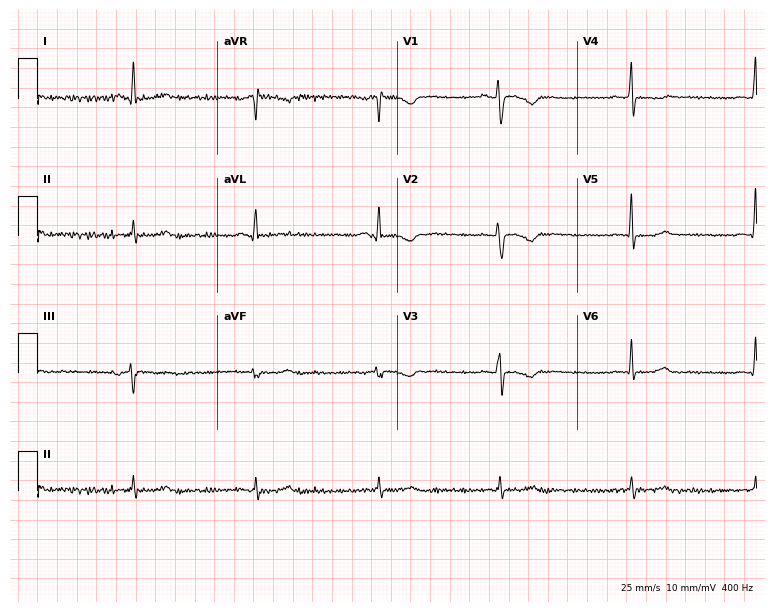
12-lead ECG from a 48-year-old female patient (7.3-second recording at 400 Hz). Shows sinus bradycardia (a sinus rate of 50 beats per minute or less).